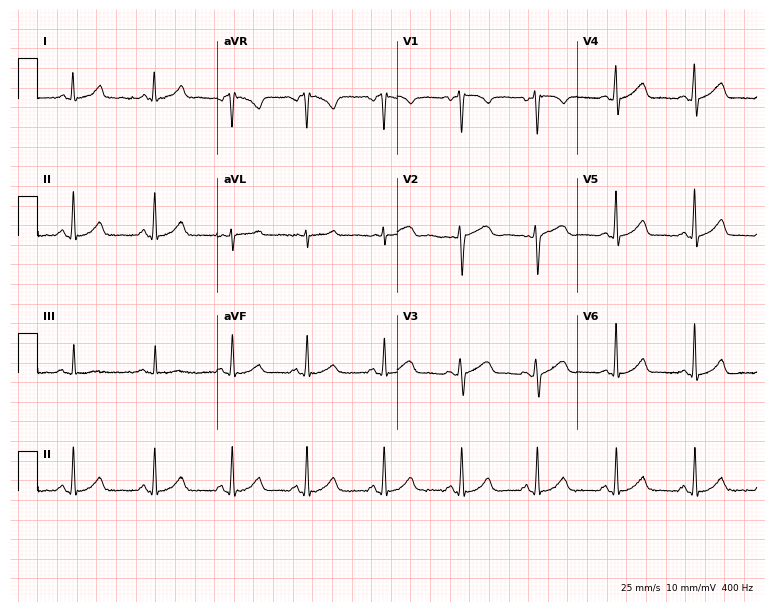
ECG (7.3-second recording at 400 Hz) — a female, 22 years old. Labelled as a normal ECG.